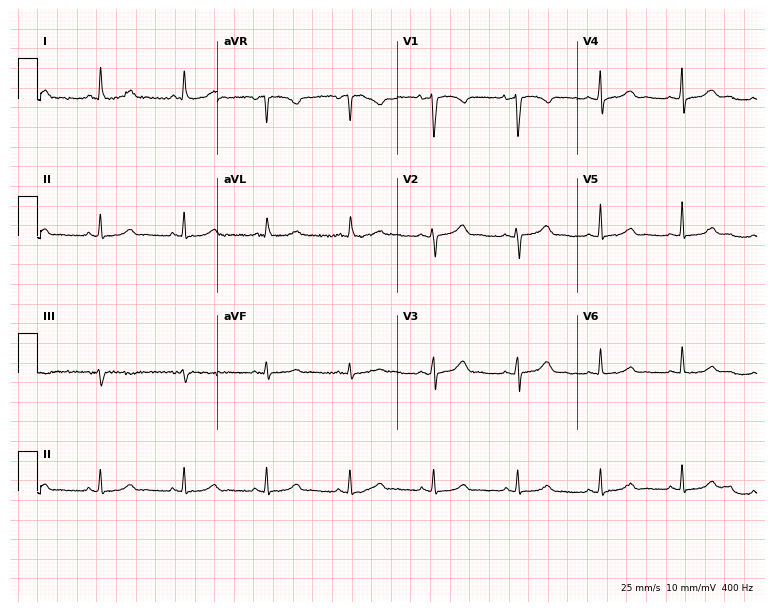
12-lead ECG from a female, 46 years old. Recorded interpretation: within normal limits.